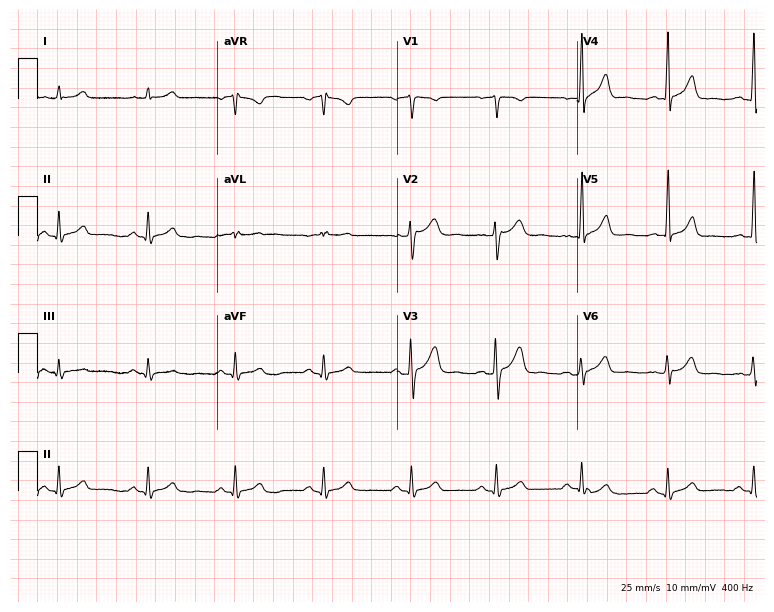
12-lead ECG from a 44-year-old male. Recorded interpretation: within normal limits.